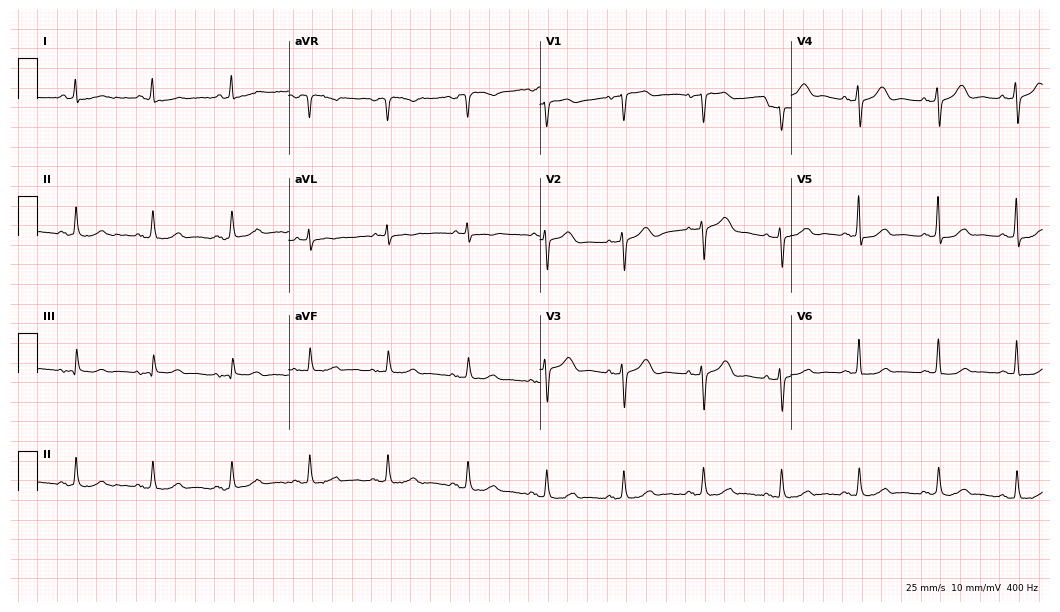
Standard 12-lead ECG recorded from a 68-year-old woman. Read as a normal ECG.